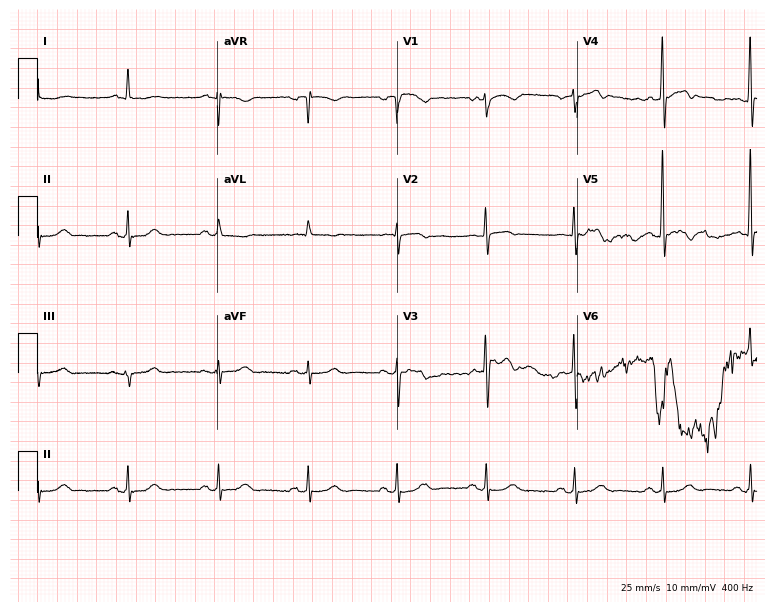
Standard 12-lead ECG recorded from an 81-year-old male patient (7.3-second recording at 400 Hz). None of these six findings is recorded: first-degree AV block, right bundle branch block, left bundle branch block, sinus bradycardia, atrial fibrillation, sinus tachycardia. Findings outside these six are not listed.